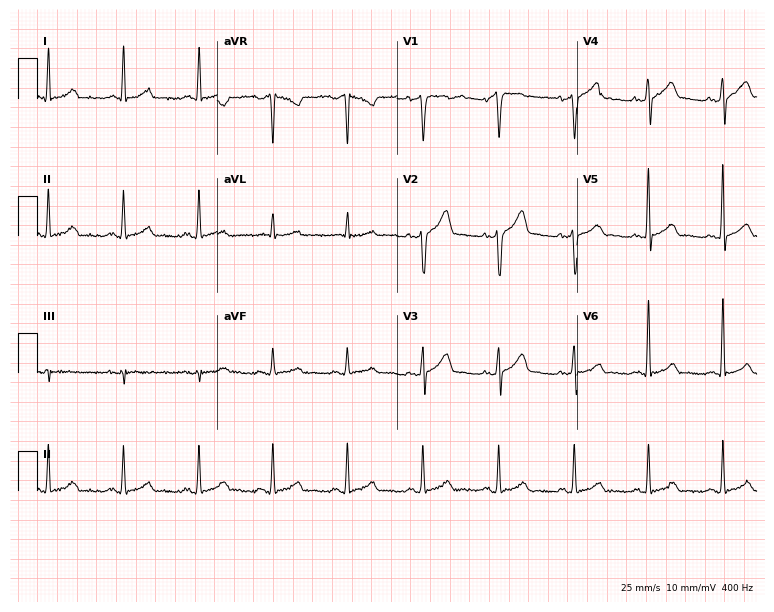
12-lead ECG from a 31-year-old man (7.3-second recording at 400 Hz). No first-degree AV block, right bundle branch block, left bundle branch block, sinus bradycardia, atrial fibrillation or sinus tachycardia recorded for this tracing.